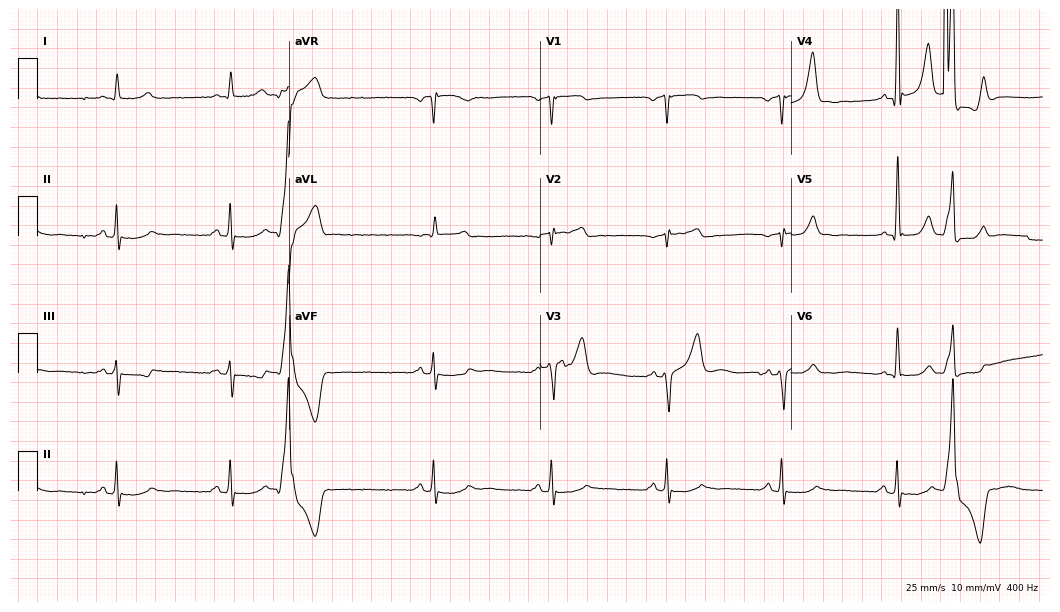
12-lead ECG from a 78-year-old male. Recorded interpretation: within normal limits.